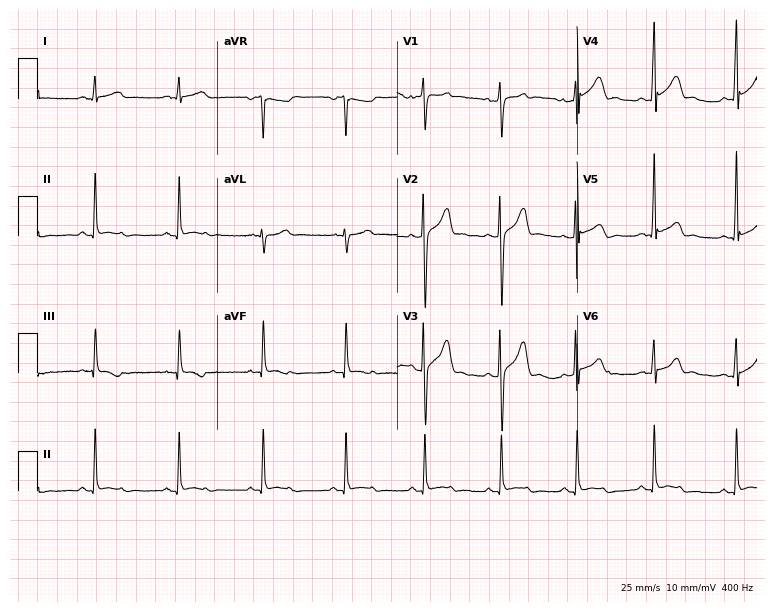
12-lead ECG from a 30-year-old male. Screened for six findings — first-degree AV block, right bundle branch block, left bundle branch block, sinus bradycardia, atrial fibrillation, sinus tachycardia — none is recorded.